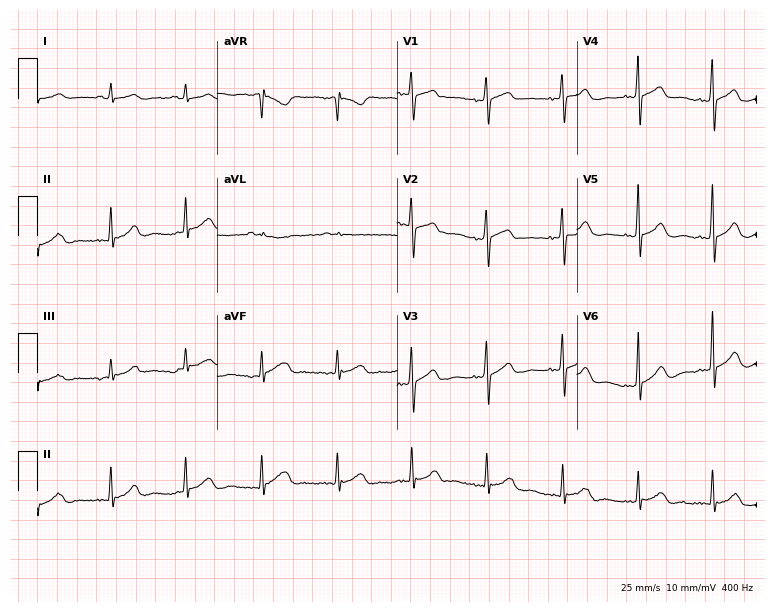
12-lead ECG from a female, 83 years old. Screened for six findings — first-degree AV block, right bundle branch block, left bundle branch block, sinus bradycardia, atrial fibrillation, sinus tachycardia — none is recorded. Only these six findings were labelled.